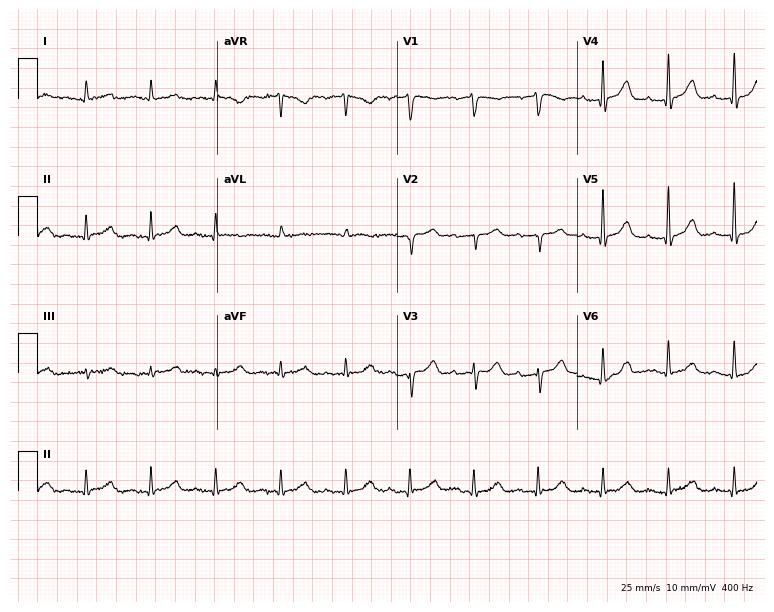
ECG (7.3-second recording at 400 Hz) — a female, 83 years old. Labelled as a normal ECG.